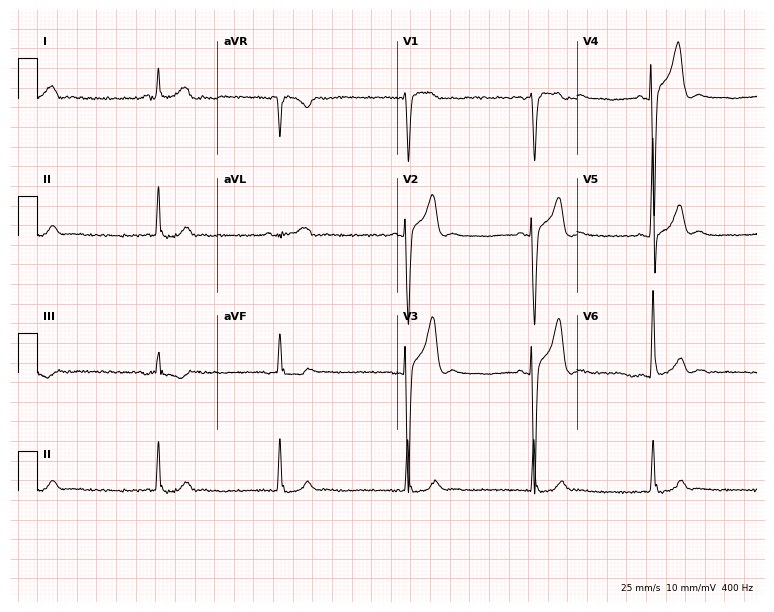
12-lead ECG from a male, 60 years old. No first-degree AV block, right bundle branch block, left bundle branch block, sinus bradycardia, atrial fibrillation or sinus tachycardia recorded for this tracing. Findings outside these six are not listed.